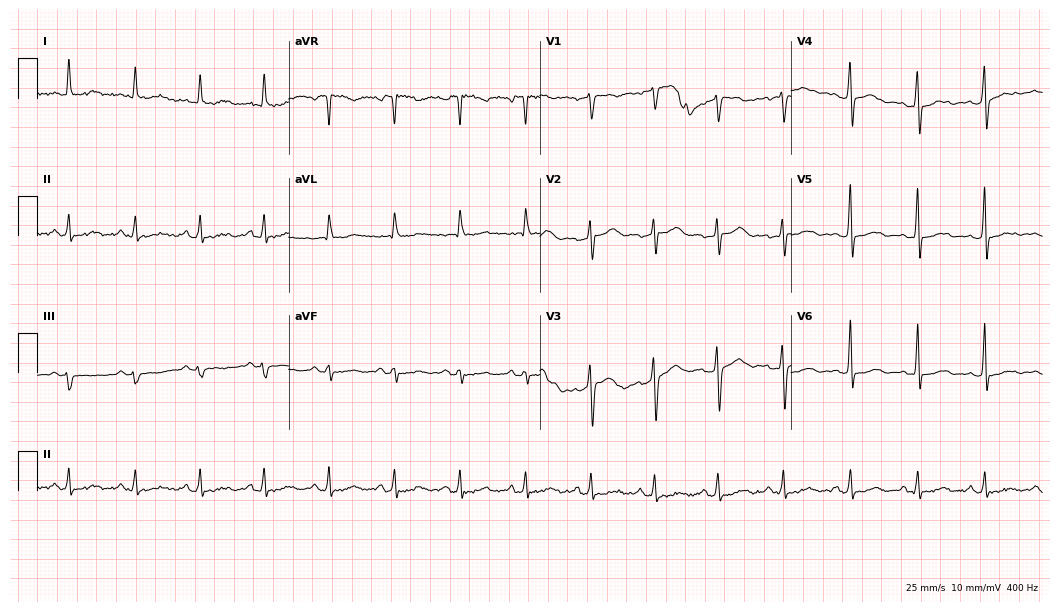
Standard 12-lead ECG recorded from a woman, 46 years old. Read as a normal ECG.